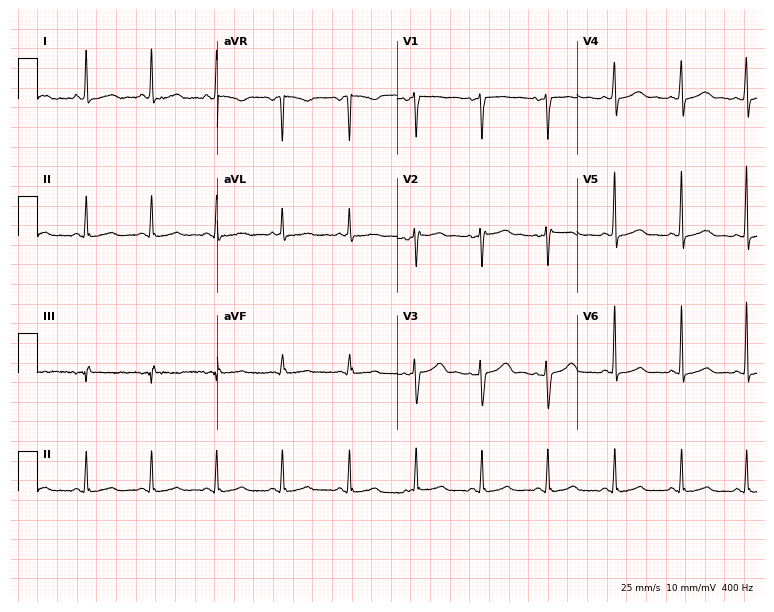
ECG — a 31-year-old female patient. Labelled as a normal ECG.